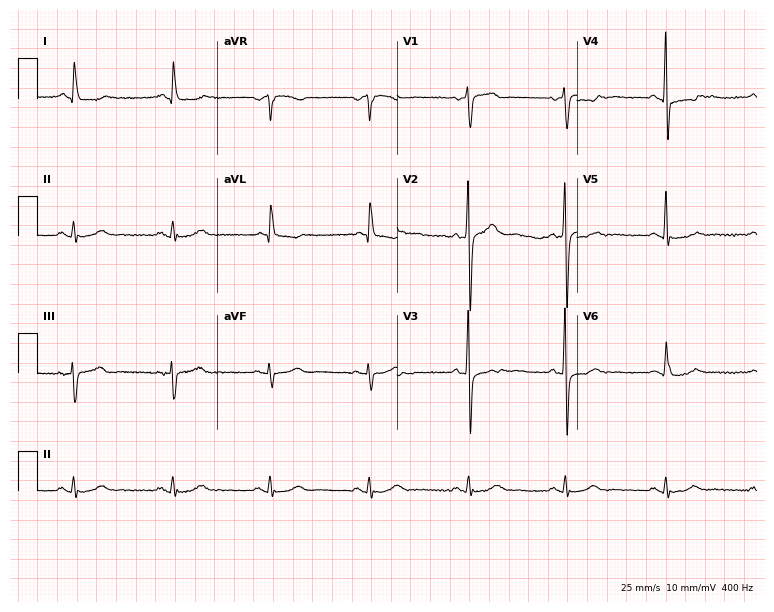
Electrocardiogram, a male, 84 years old. Overall reading on record: normal ECG.